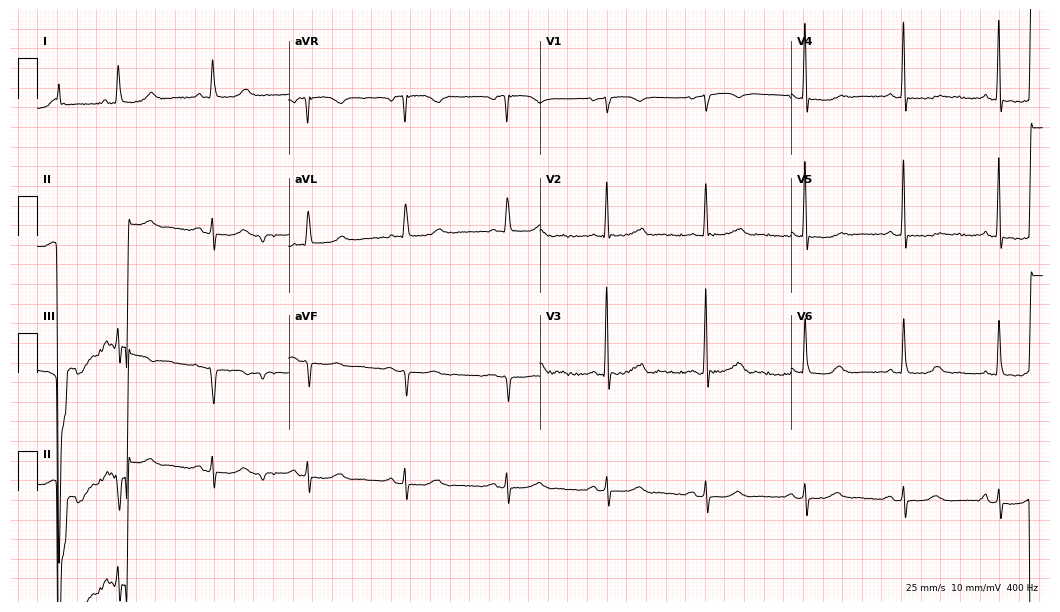
Standard 12-lead ECG recorded from a woman, 80 years old. None of these six findings is recorded: first-degree AV block, right bundle branch block, left bundle branch block, sinus bradycardia, atrial fibrillation, sinus tachycardia. Findings outside these six are not listed.